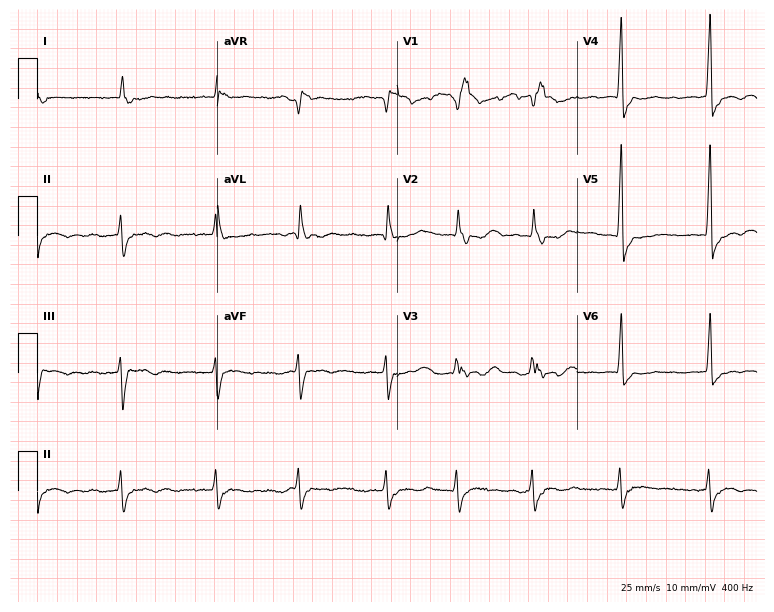
Electrocardiogram, a 78-year-old female. Interpretation includes right bundle branch block, atrial fibrillation.